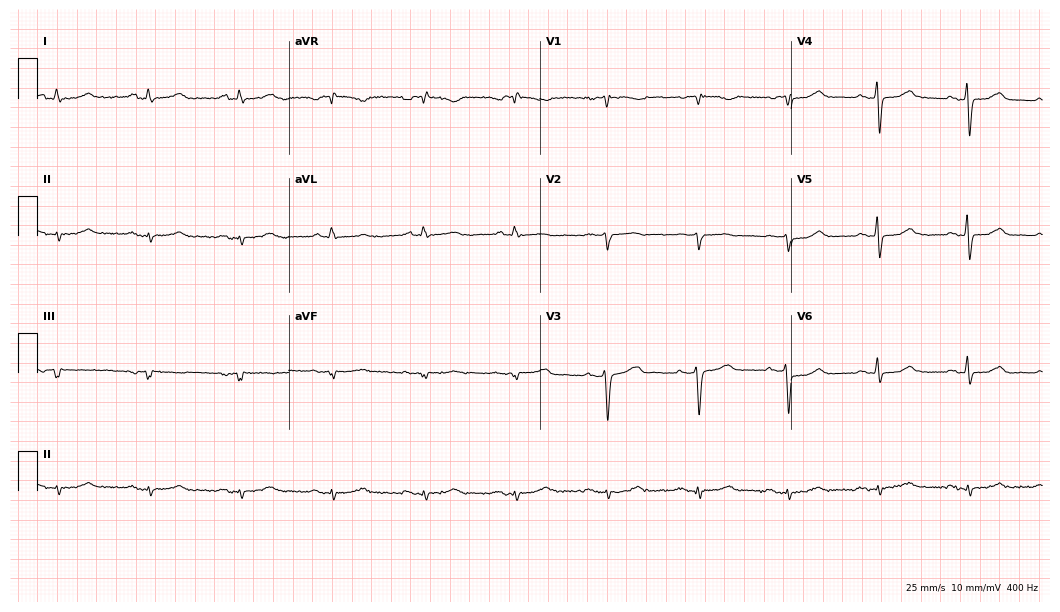
12-lead ECG from a female, 63 years old (10.2-second recording at 400 Hz). No first-degree AV block, right bundle branch block, left bundle branch block, sinus bradycardia, atrial fibrillation or sinus tachycardia recorded for this tracing.